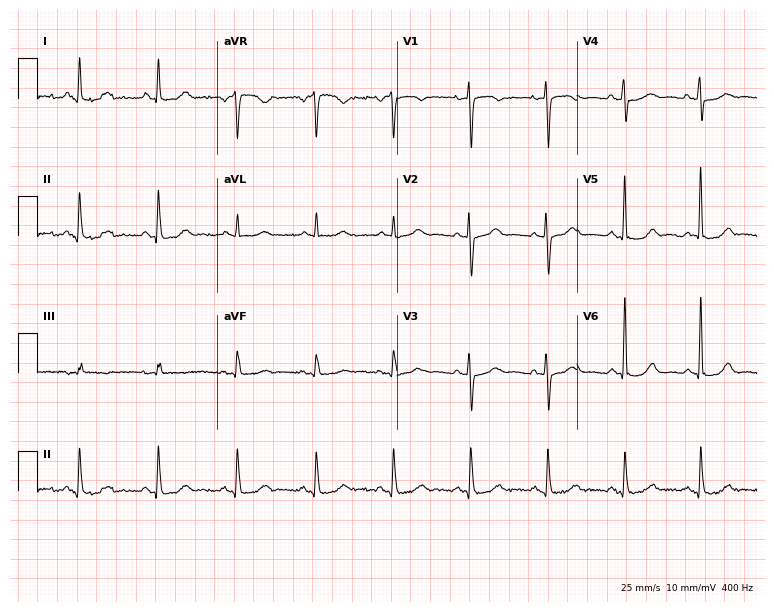
Standard 12-lead ECG recorded from a female patient, 57 years old. Read as a normal ECG.